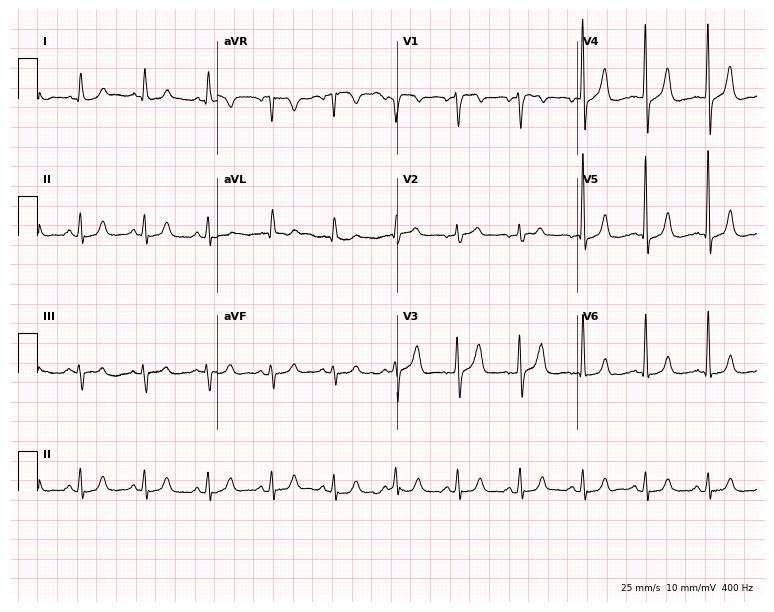
Resting 12-lead electrocardiogram (7.3-second recording at 400 Hz). Patient: a male, 73 years old. None of these six findings is recorded: first-degree AV block, right bundle branch block, left bundle branch block, sinus bradycardia, atrial fibrillation, sinus tachycardia.